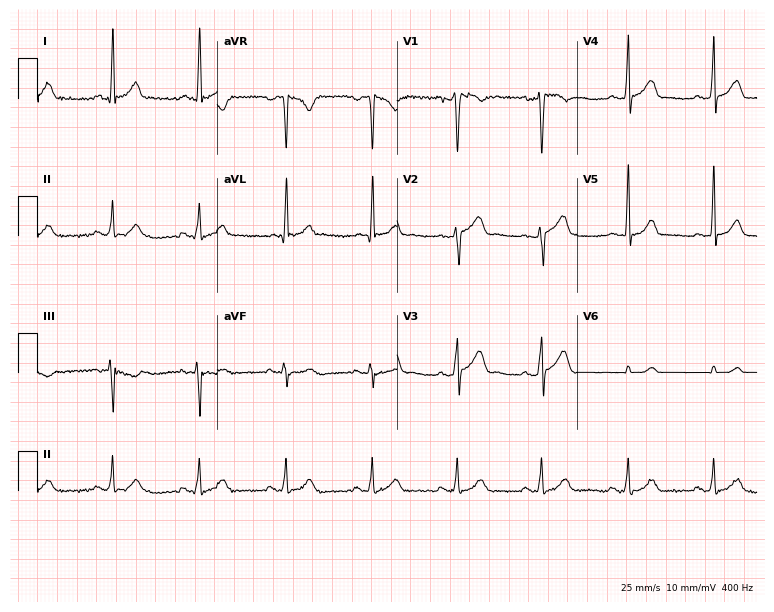
Resting 12-lead electrocardiogram. Patient: a man, 40 years old. Read as a normal ECG.